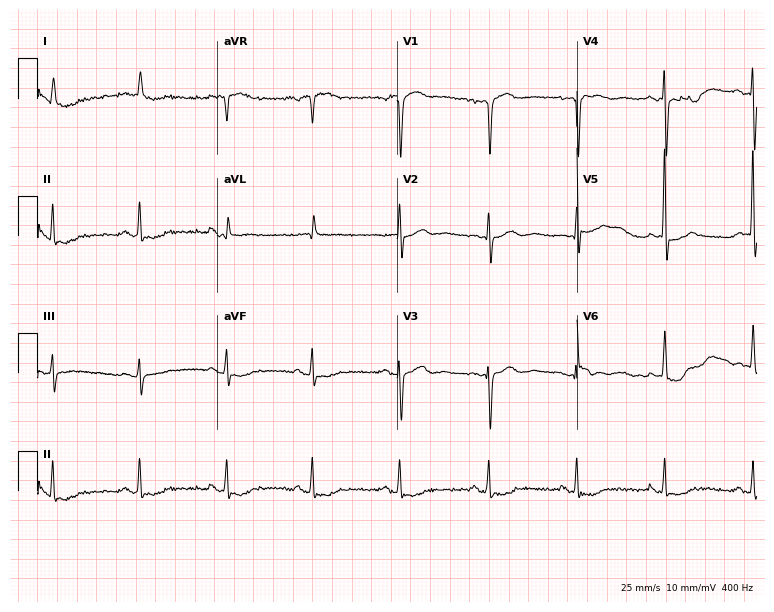
Electrocardiogram (7.3-second recording at 400 Hz), a female, 84 years old. Of the six screened findings (first-degree AV block, right bundle branch block, left bundle branch block, sinus bradycardia, atrial fibrillation, sinus tachycardia), none is recorded. Only these six findings were labelled.